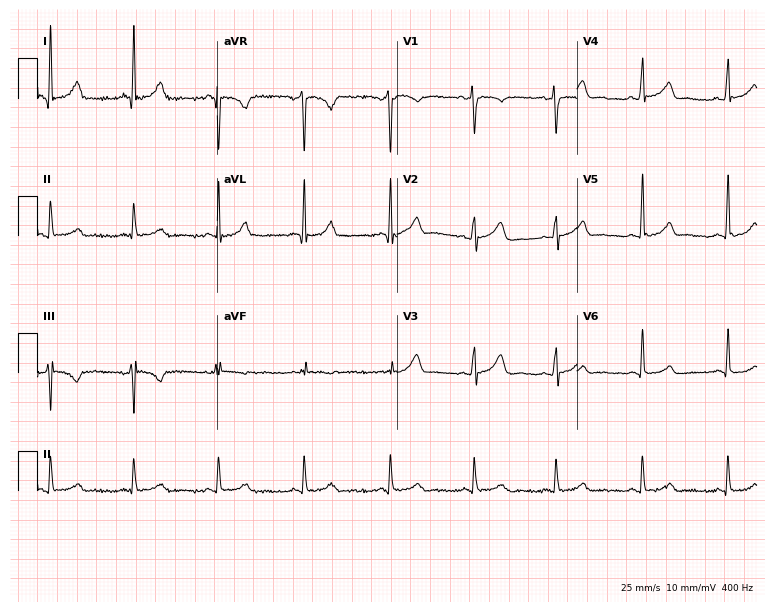
Resting 12-lead electrocardiogram (7.3-second recording at 400 Hz). Patient: a 31-year-old female. None of these six findings is recorded: first-degree AV block, right bundle branch block, left bundle branch block, sinus bradycardia, atrial fibrillation, sinus tachycardia.